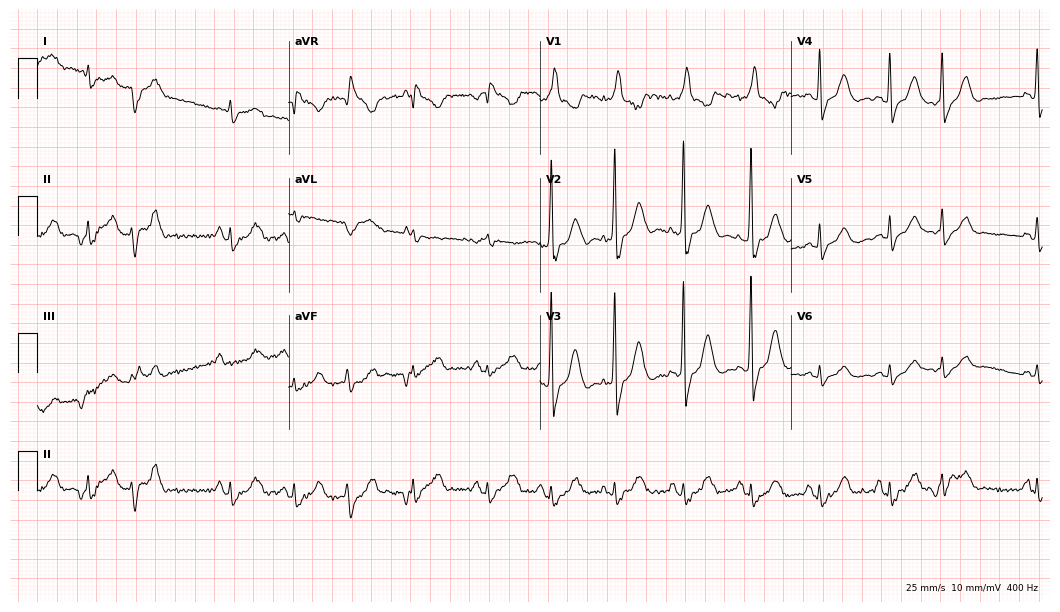
Standard 12-lead ECG recorded from an 82-year-old man. None of these six findings is recorded: first-degree AV block, right bundle branch block, left bundle branch block, sinus bradycardia, atrial fibrillation, sinus tachycardia. Other findings, if any, are not listed.